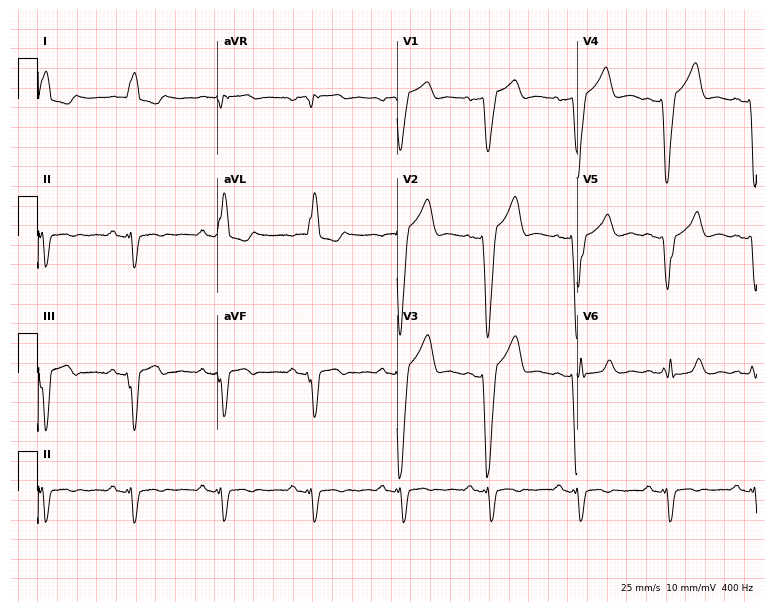
ECG — a 53-year-old male patient. Findings include left bundle branch block.